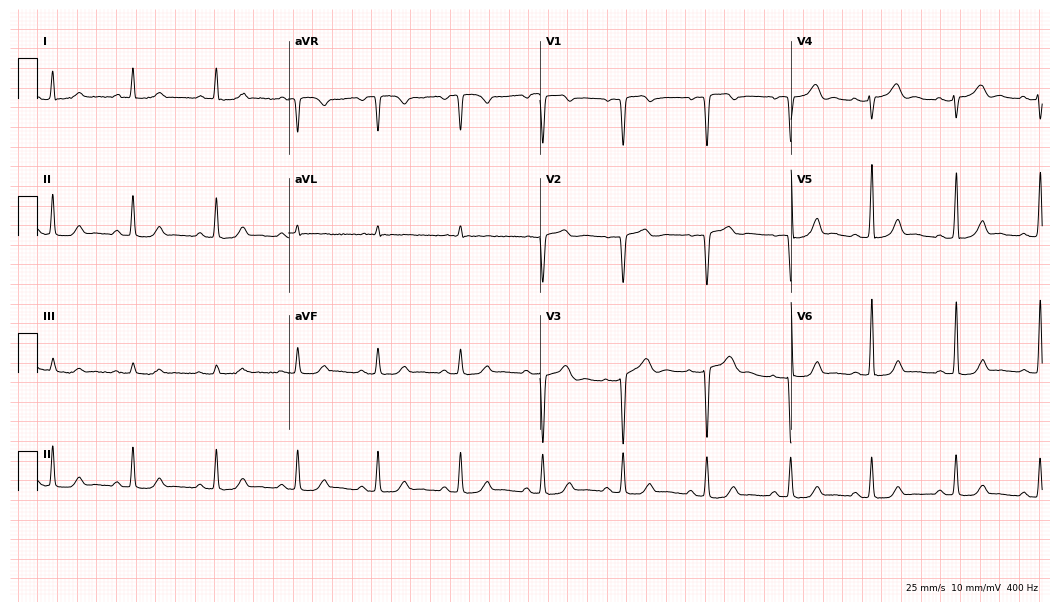
ECG (10.2-second recording at 400 Hz) — a 41-year-old woman. Screened for six findings — first-degree AV block, right bundle branch block, left bundle branch block, sinus bradycardia, atrial fibrillation, sinus tachycardia — none is recorded. Only these six findings were labelled.